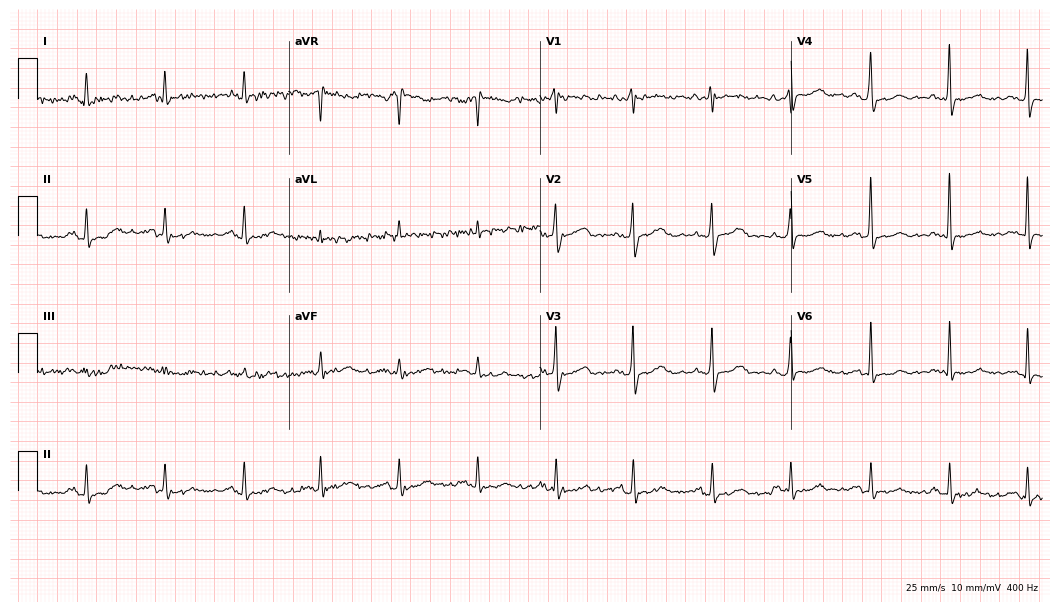
Electrocardiogram, a man, 72 years old. Overall reading on record: normal ECG.